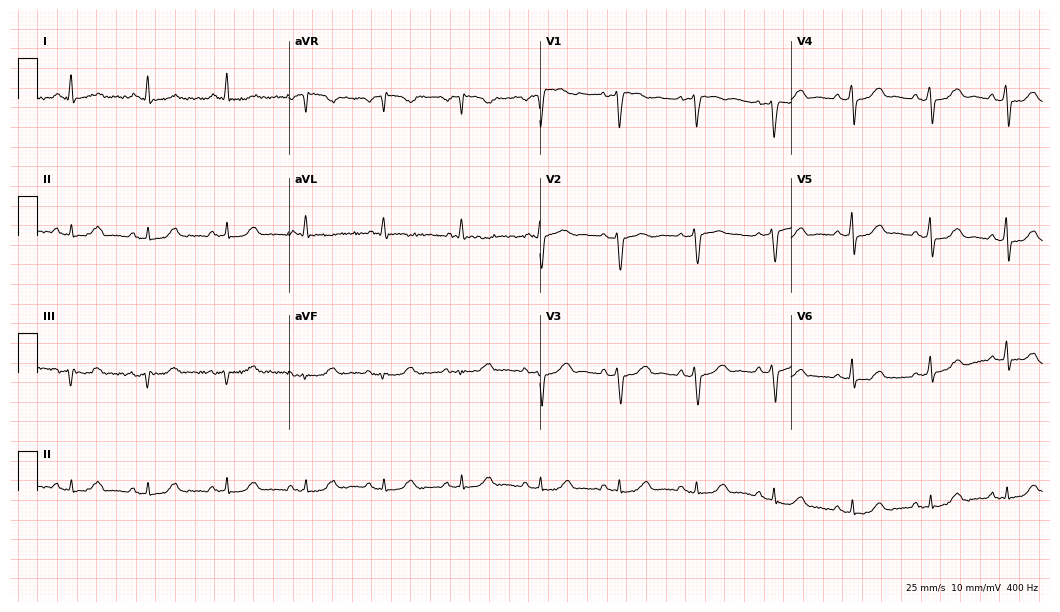
Standard 12-lead ECG recorded from a woman, 61 years old. Read as a normal ECG.